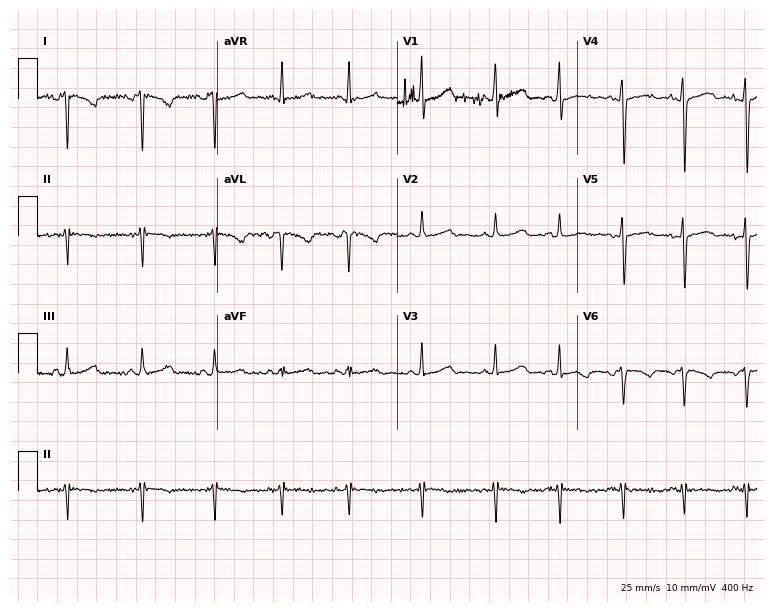
Electrocardiogram (7.3-second recording at 400 Hz), a 35-year-old female. Of the six screened findings (first-degree AV block, right bundle branch block (RBBB), left bundle branch block (LBBB), sinus bradycardia, atrial fibrillation (AF), sinus tachycardia), none is recorded. Other findings, if any, are not listed.